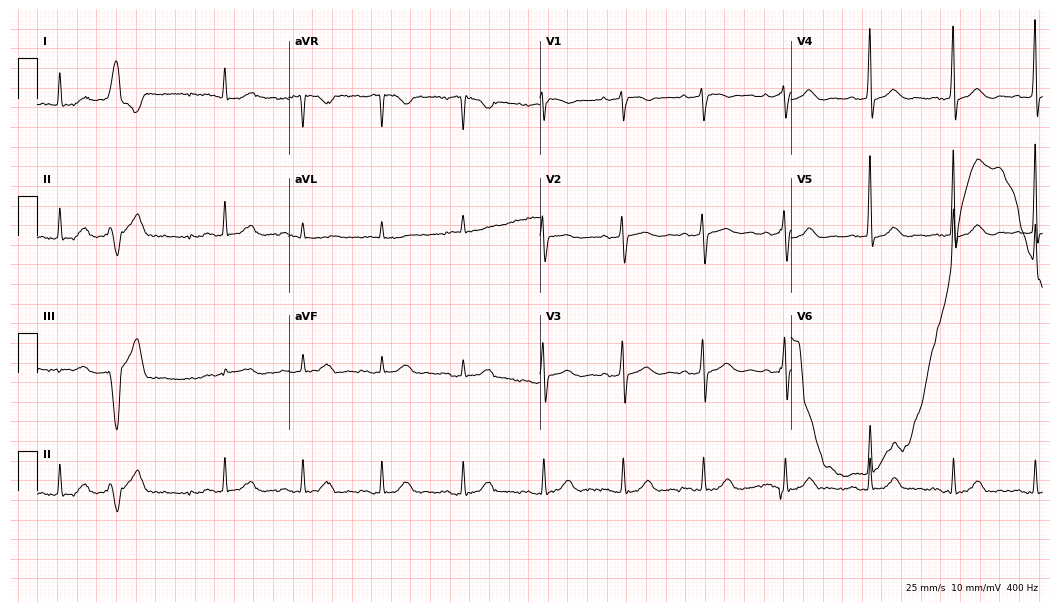
Electrocardiogram (10.2-second recording at 400 Hz), a female, 78 years old. Of the six screened findings (first-degree AV block, right bundle branch block, left bundle branch block, sinus bradycardia, atrial fibrillation, sinus tachycardia), none is recorded. Only these six findings were labelled.